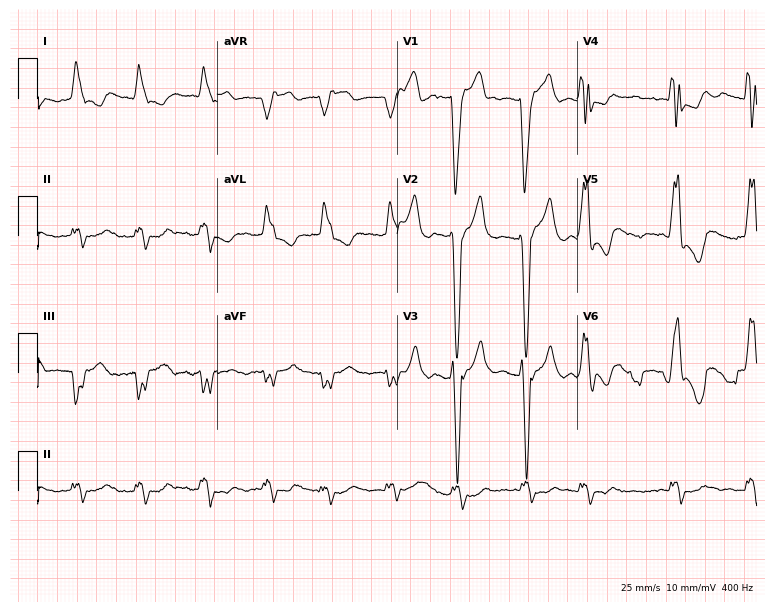
Electrocardiogram, a male patient, 76 years old. Interpretation includes left bundle branch block, atrial fibrillation.